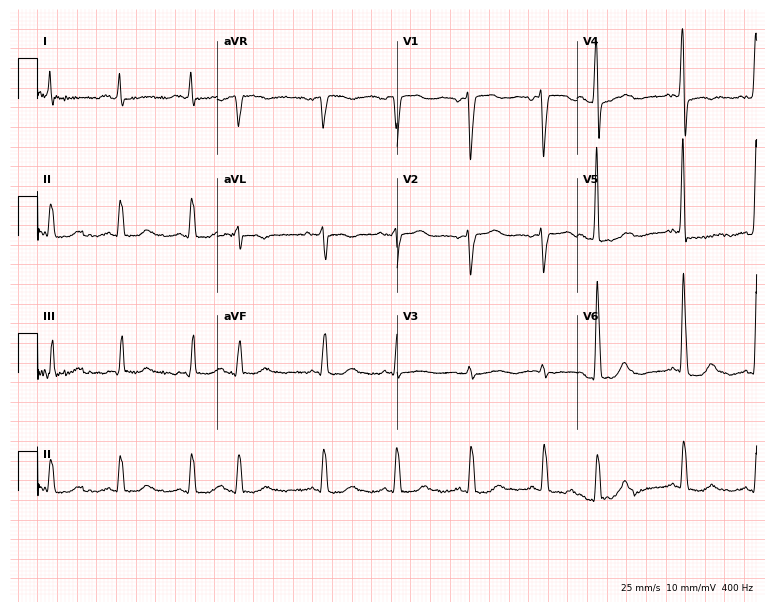
ECG (7.3-second recording at 400 Hz) — a 76-year-old man. Screened for six findings — first-degree AV block, right bundle branch block, left bundle branch block, sinus bradycardia, atrial fibrillation, sinus tachycardia — none is recorded.